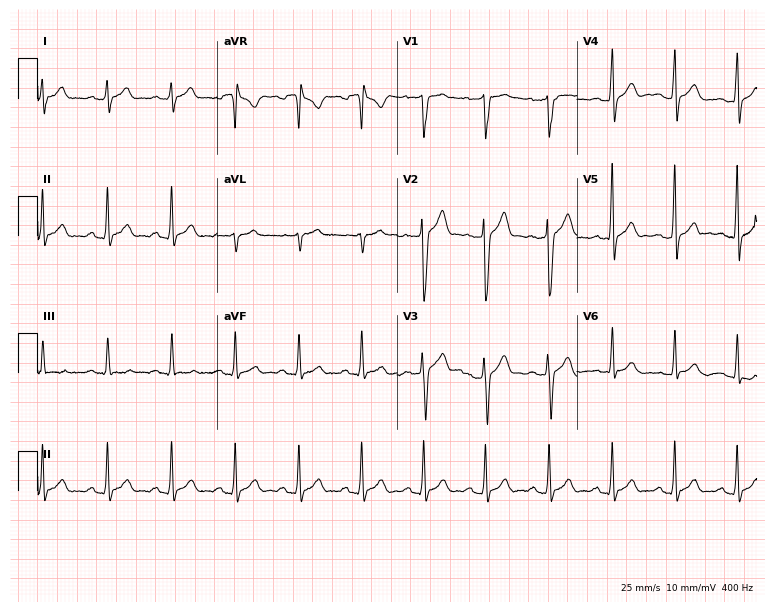
12-lead ECG from a male patient, 25 years old (7.3-second recording at 400 Hz). Recorded interpretation: within normal limits.